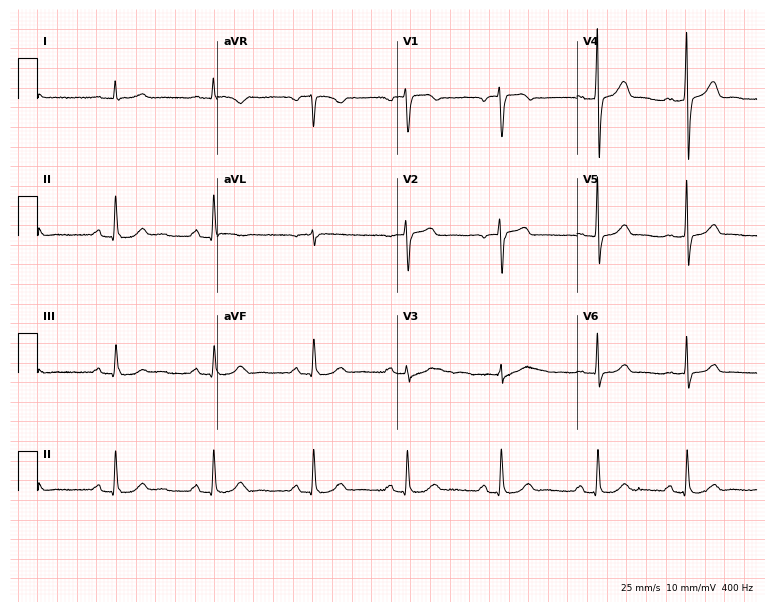
Standard 12-lead ECG recorded from a 54-year-old male patient. Read as a normal ECG.